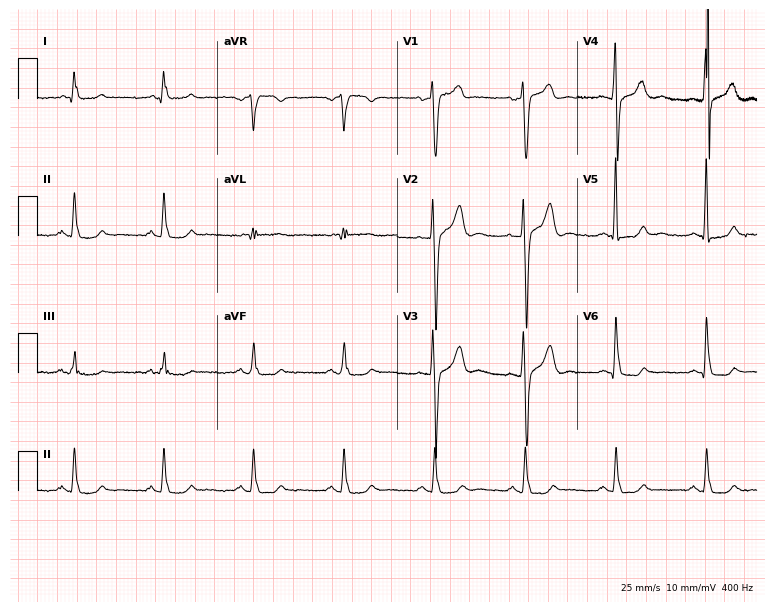
Electrocardiogram (7.3-second recording at 400 Hz), a male patient, 47 years old. Of the six screened findings (first-degree AV block, right bundle branch block (RBBB), left bundle branch block (LBBB), sinus bradycardia, atrial fibrillation (AF), sinus tachycardia), none is recorded. Only these six findings were labelled.